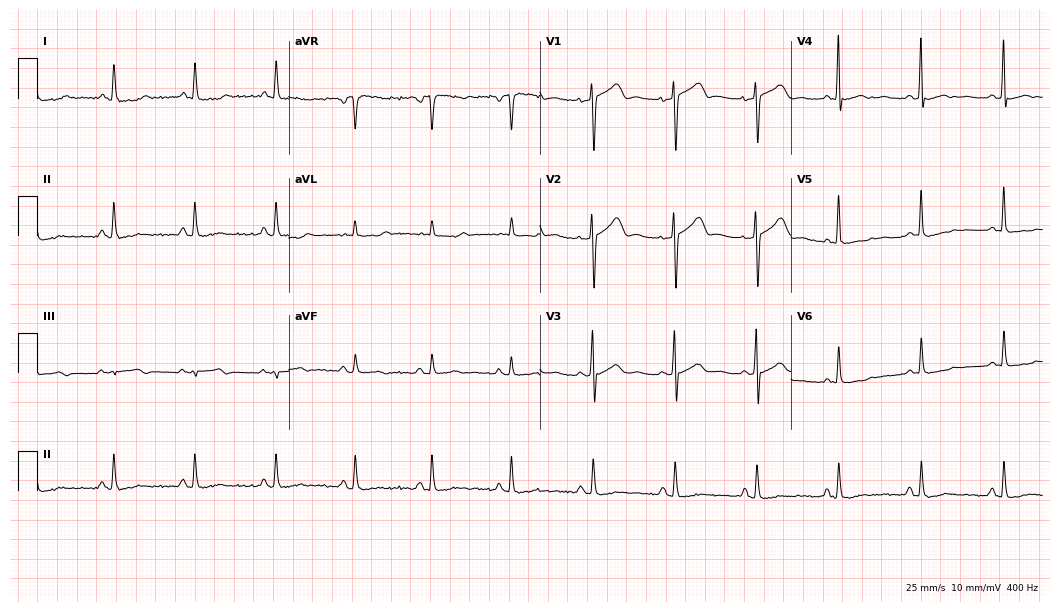
12-lead ECG from a woman, 60 years old. Screened for six findings — first-degree AV block, right bundle branch block, left bundle branch block, sinus bradycardia, atrial fibrillation, sinus tachycardia — none is recorded. Only these six findings were labelled.